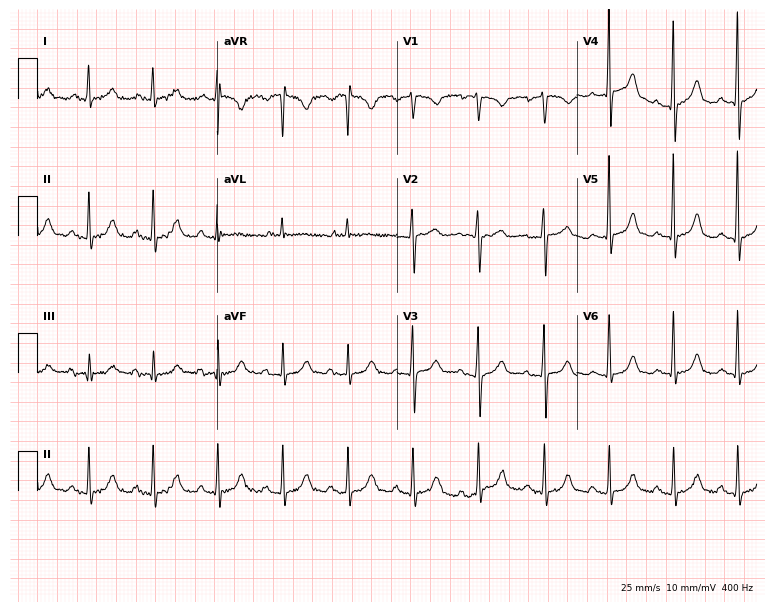
Electrocardiogram (7.3-second recording at 400 Hz), a 78-year-old female patient. Of the six screened findings (first-degree AV block, right bundle branch block, left bundle branch block, sinus bradycardia, atrial fibrillation, sinus tachycardia), none is recorded.